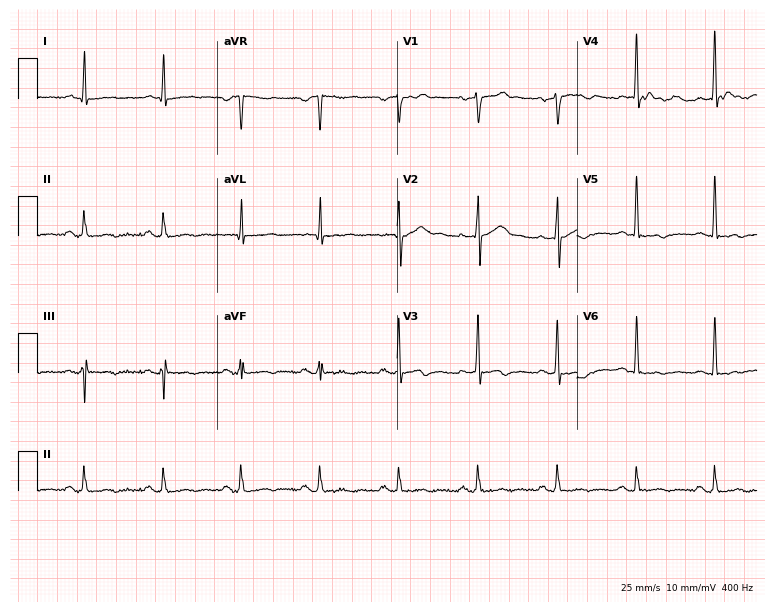
12-lead ECG from a 47-year-old male patient (7.3-second recording at 400 Hz). No first-degree AV block, right bundle branch block, left bundle branch block, sinus bradycardia, atrial fibrillation or sinus tachycardia recorded for this tracing.